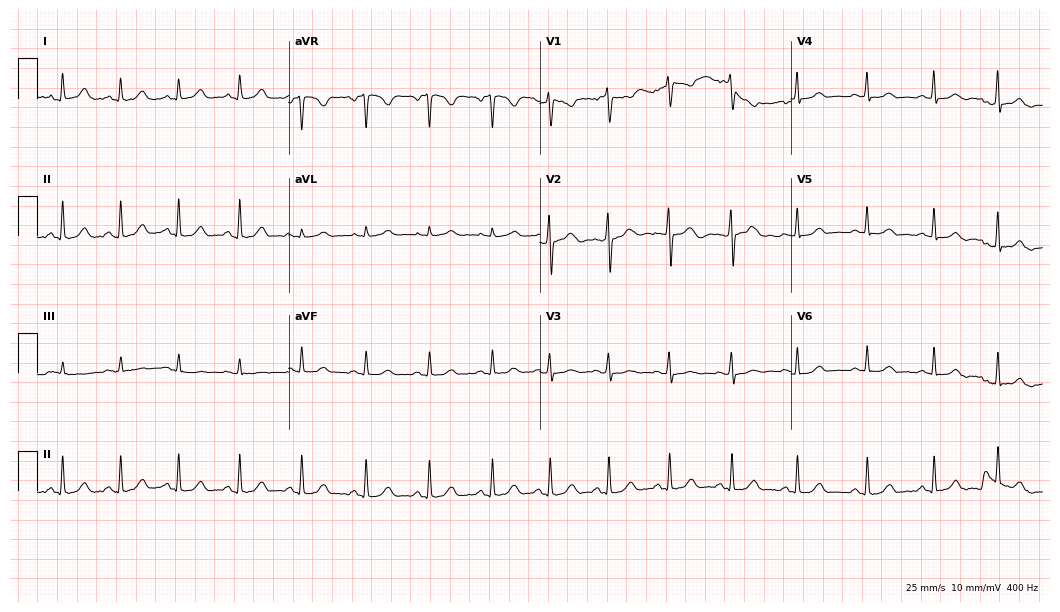
Electrocardiogram, a 39-year-old female. Overall reading on record: normal ECG.